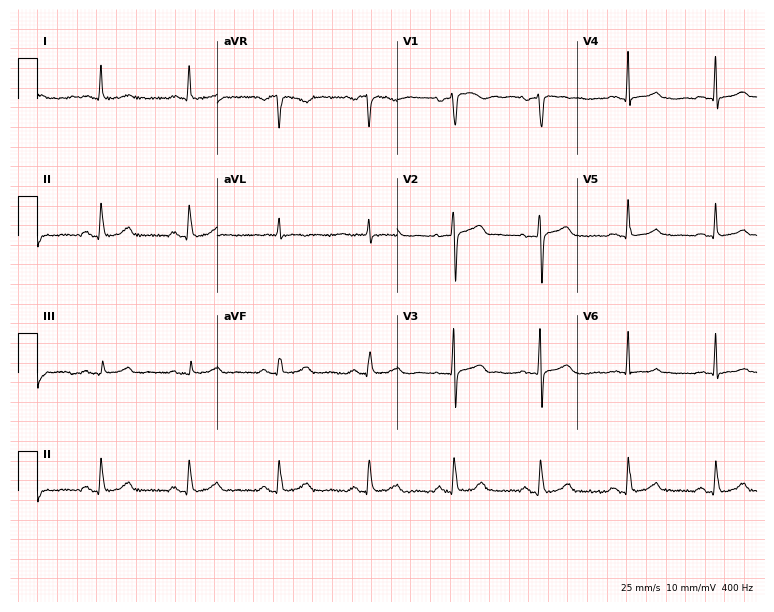
12-lead ECG from a 79-year-old woman (7.3-second recording at 400 Hz). No first-degree AV block, right bundle branch block (RBBB), left bundle branch block (LBBB), sinus bradycardia, atrial fibrillation (AF) or sinus tachycardia recorded for this tracing. Other findings, if any, are not listed.